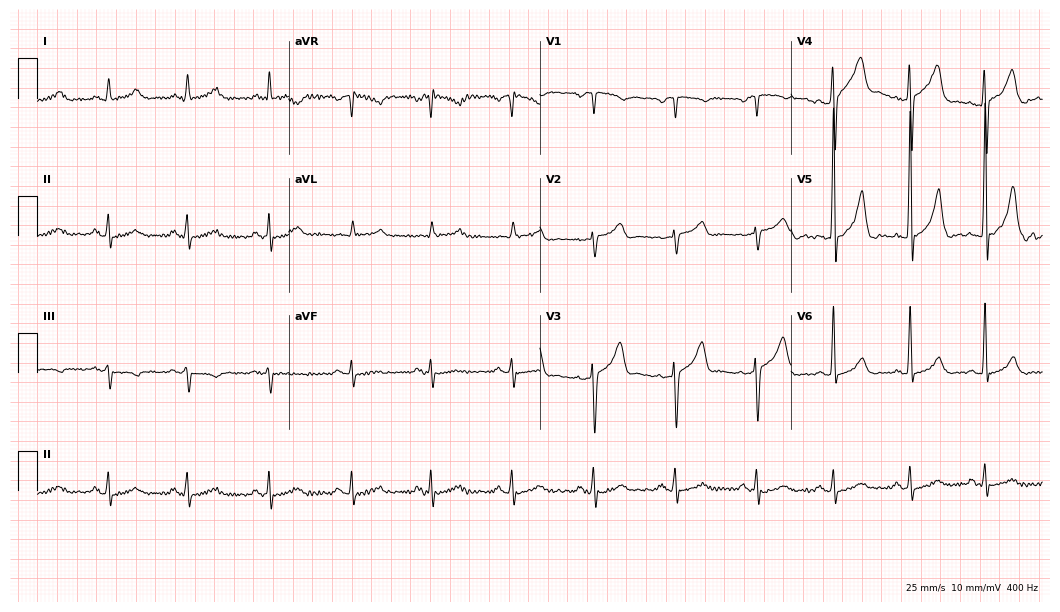
Resting 12-lead electrocardiogram (10.2-second recording at 400 Hz). Patient: a 49-year-old man. None of these six findings is recorded: first-degree AV block, right bundle branch block (RBBB), left bundle branch block (LBBB), sinus bradycardia, atrial fibrillation (AF), sinus tachycardia. Other findings, if any, are not listed.